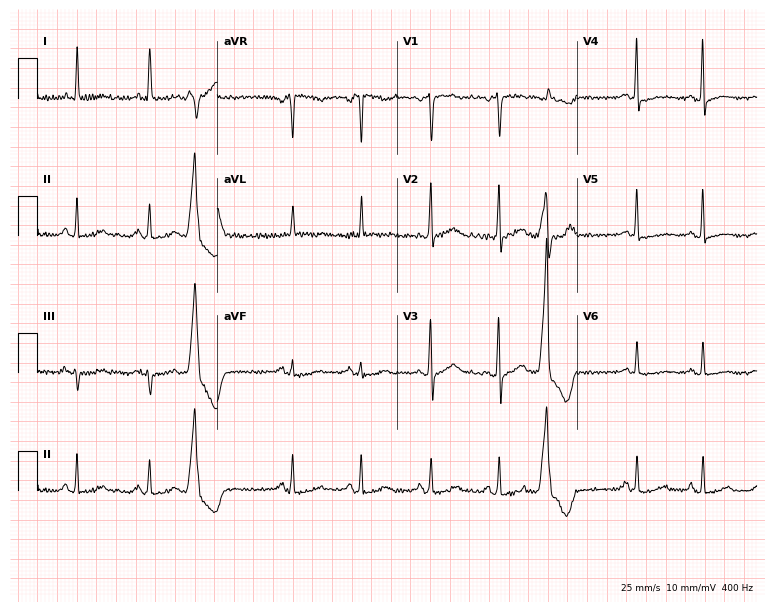
12-lead ECG from a female, 60 years old. Screened for six findings — first-degree AV block, right bundle branch block, left bundle branch block, sinus bradycardia, atrial fibrillation, sinus tachycardia — none is recorded. Other findings, if any, are not listed.